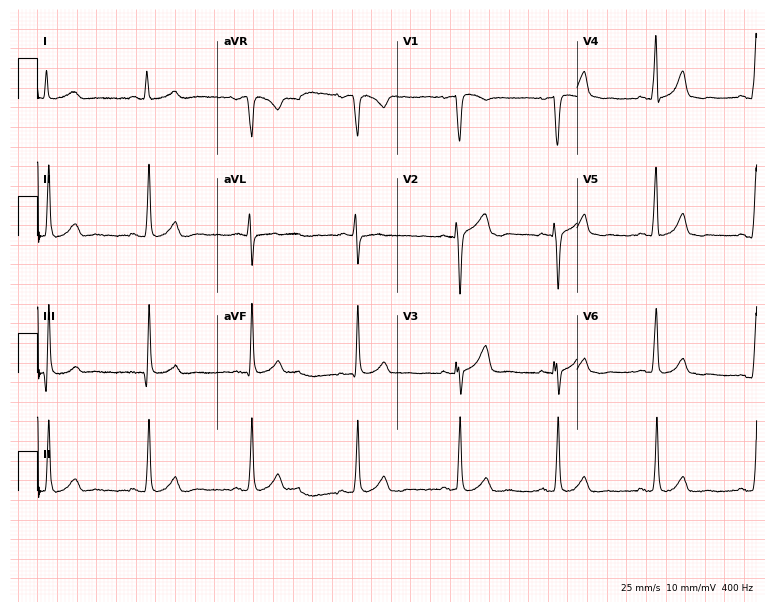
Resting 12-lead electrocardiogram. Patient: a woman, 67 years old. Read as a normal ECG.